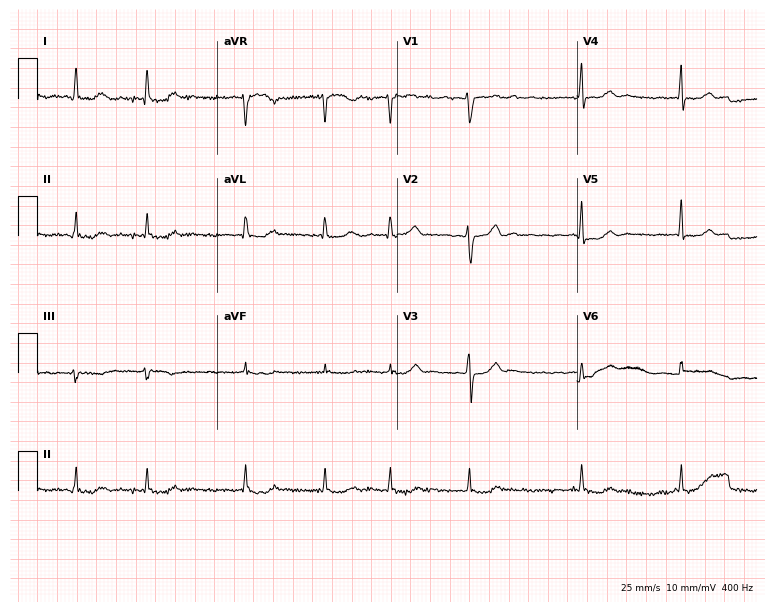
Resting 12-lead electrocardiogram (7.3-second recording at 400 Hz). Patient: a 76-year-old woman. None of these six findings is recorded: first-degree AV block, right bundle branch block, left bundle branch block, sinus bradycardia, atrial fibrillation, sinus tachycardia.